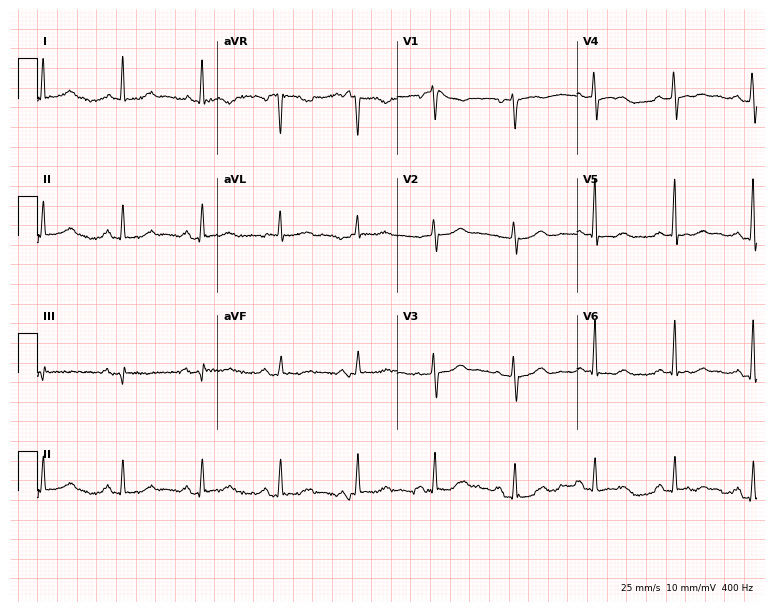
Standard 12-lead ECG recorded from a 64-year-old female patient. Read as a normal ECG.